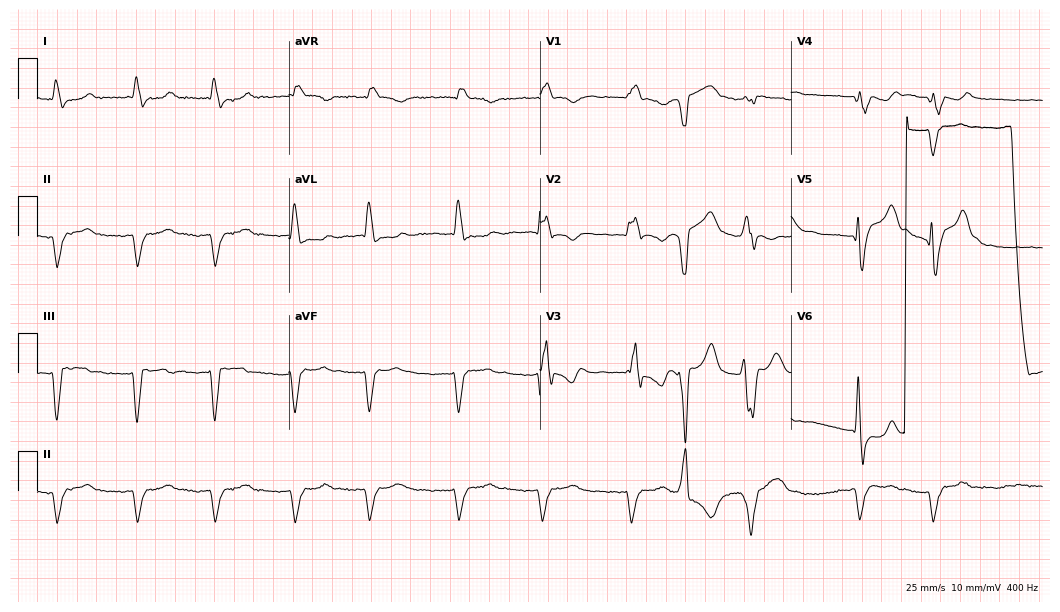
ECG (10.2-second recording at 400 Hz) — a man, 78 years old. Findings include right bundle branch block.